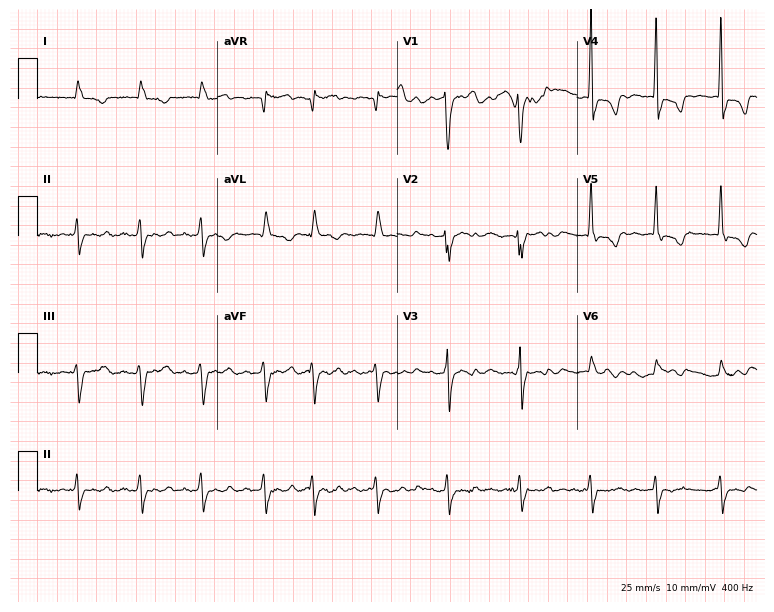
ECG (7.3-second recording at 400 Hz) — an 82-year-old female patient. Screened for six findings — first-degree AV block, right bundle branch block, left bundle branch block, sinus bradycardia, atrial fibrillation, sinus tachycardia — none is recorded. Other findings, if any, are not listed.